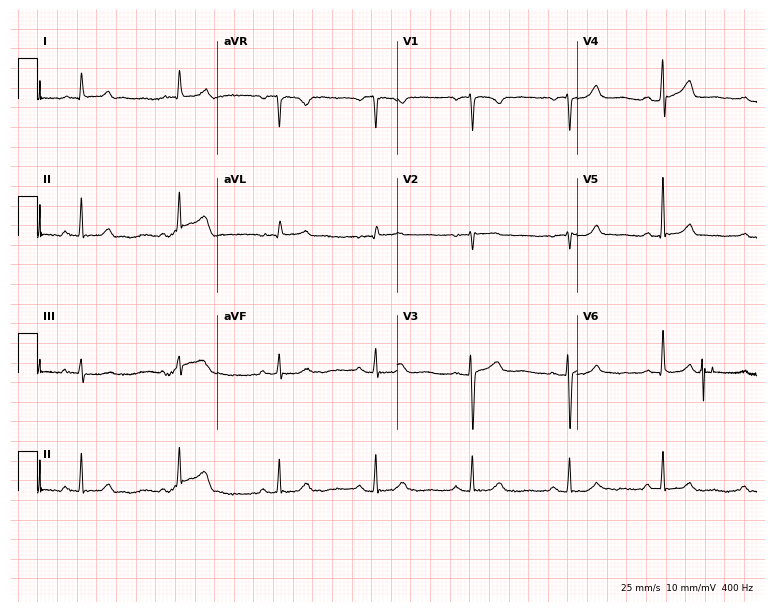
Electrocardiogram, a female patient, 54 years old. Overall reading on record: normal ECG.